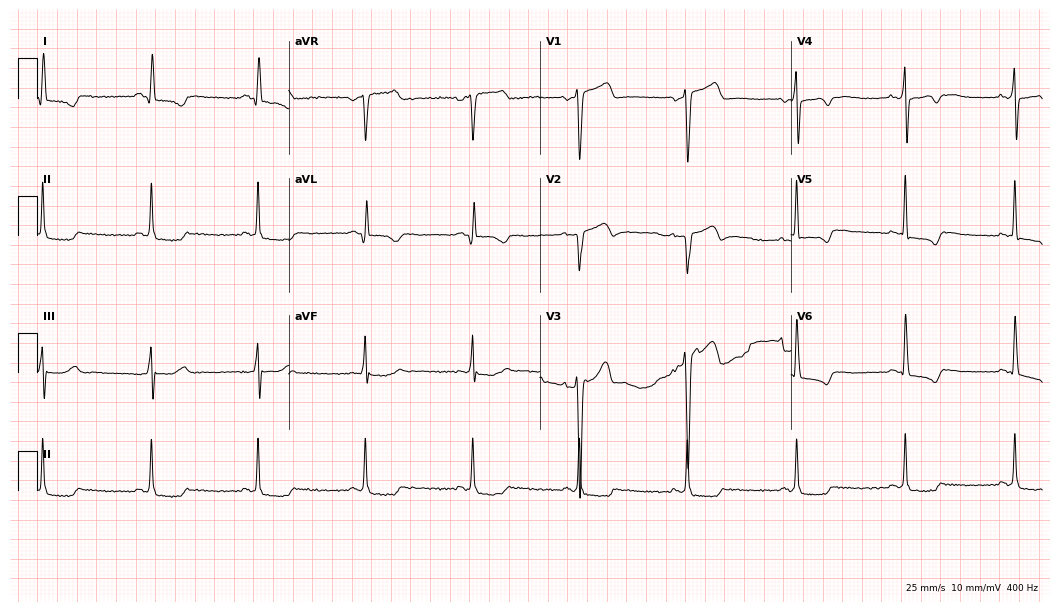
Standard 12-lead ECG recorded from a male patient, 52 years old. None of these six findings is recorded: first-degree AV block, right bundle branch block, left bundle branch block, sinus bradycardia, atrial fibrillation, sinus tachycardia. Only these six findings were labelled.